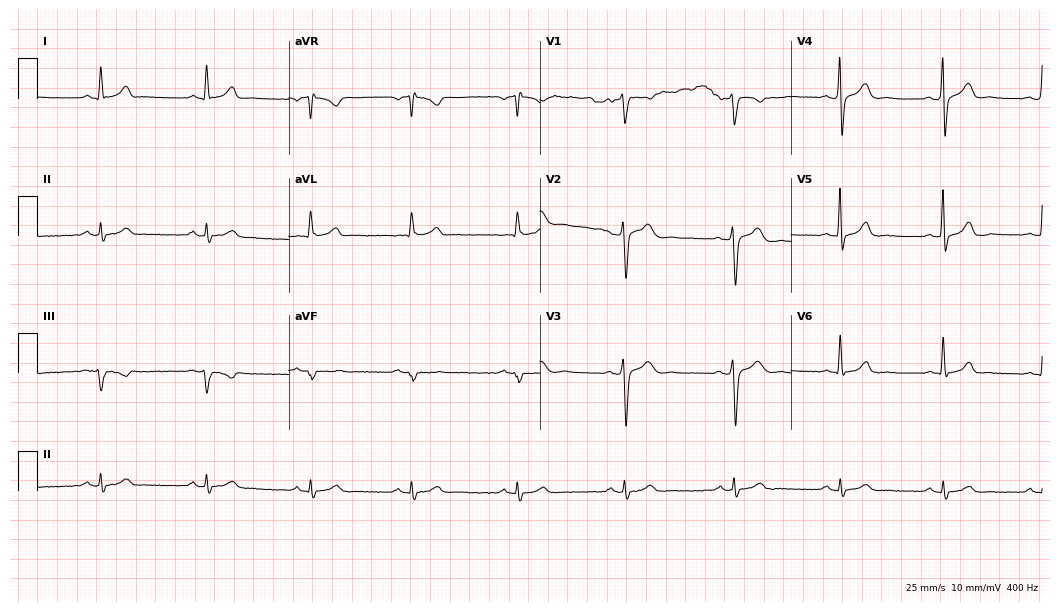
Standard 12-lead ECG recorded from a 52-year-old man. Read as a normal ECG.